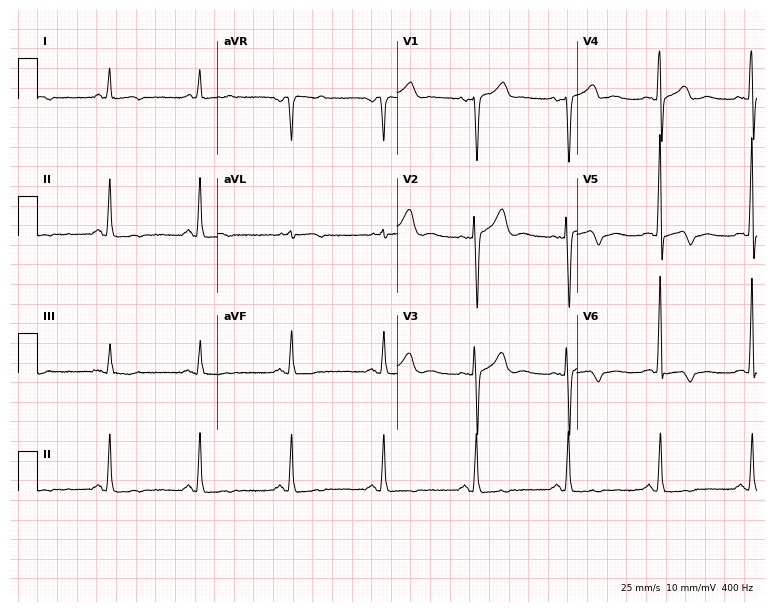
12-lead ECG from an 81-year-old female patient. Screened for six findings — first-degree AV block, right bundle branch block, left bundle branch block, sinus bradycardia, atrial fibrillation, sinus tachycardia — none is recorded. Other findings, if any, are not listed.